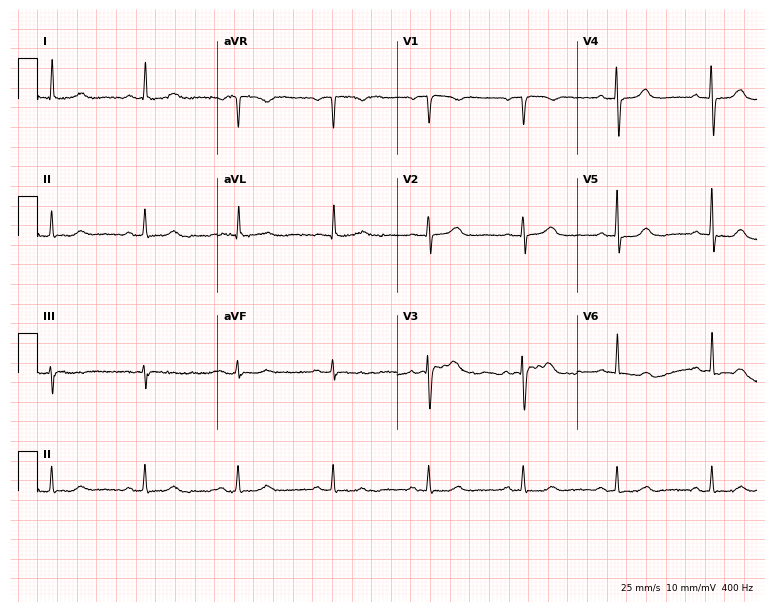
Electrocardiogram, an 80-year-old woman. Of the six screened findings (first-degree AV block, right bundle branch block (RBBB), left bundle branch block (LBBB), sinus bradycardia, atrial fibrillation (AF), sinus tachycardia), none is recorded. Other findings, if any, are not listed.